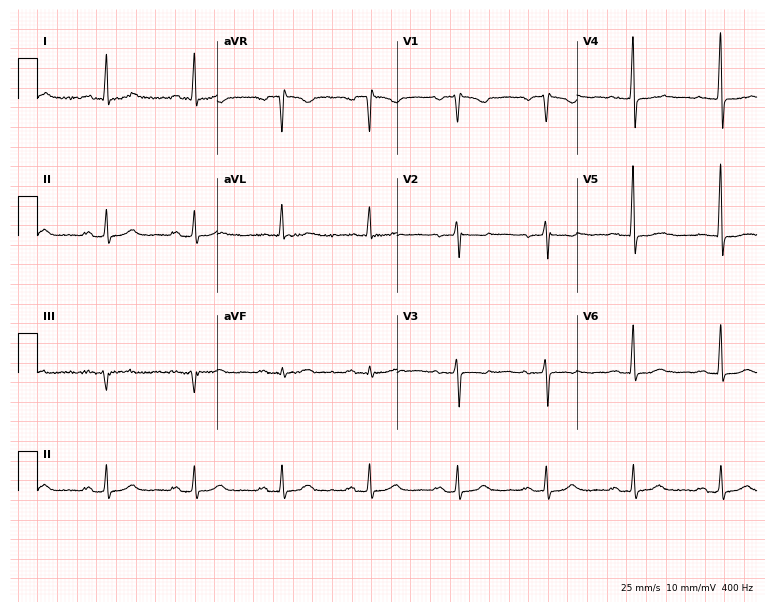
Standard 12-lead ECG recorded from a female, 74 years old. None of these six findings is recorded: first-degree AV block, right bundle branch block, left bundle branch block, sinus bradycardia, atrial fibrillation, sinus tachycardia.